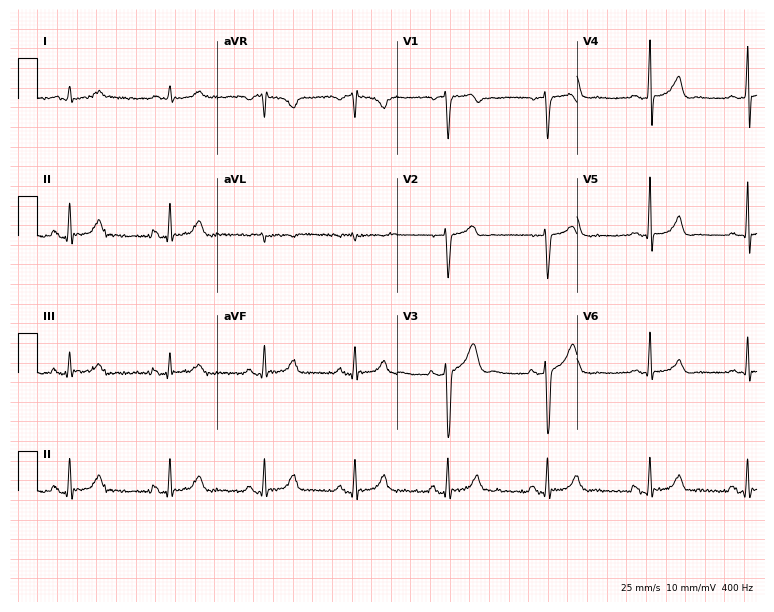
ECG (7.3-second recording at 400 Hz) — a man, 50 years old. Labelled as a normal ECG.